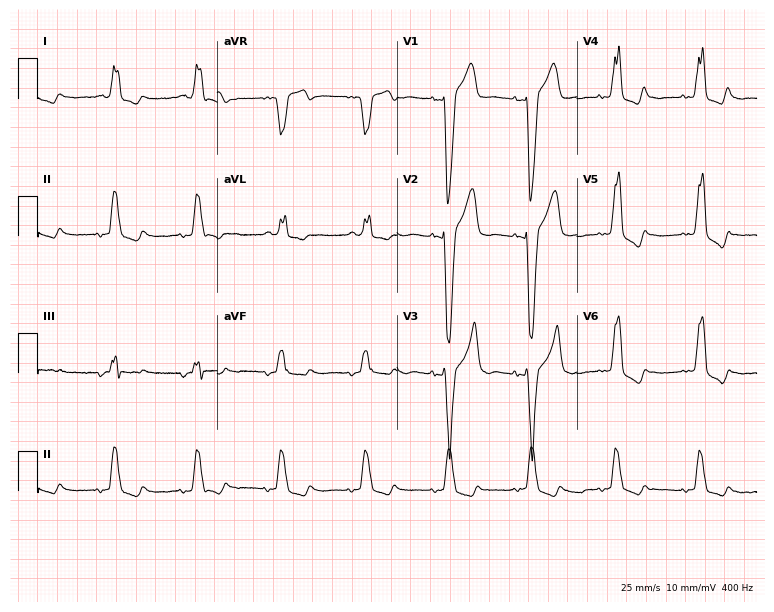
Resting 12-lead electrocardiogram (7.3-second recording at 400 Hz). Patient: a male, 69 years old. The tracing shows left bundle branch block (LBBB).